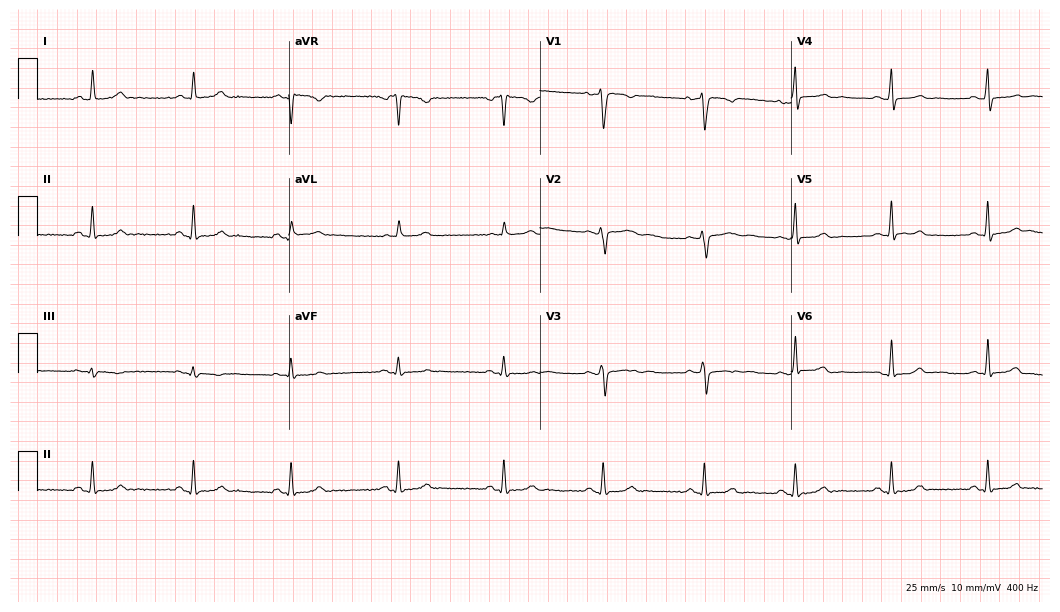
Standard 12-lead ECG recorded from a 34-year-old female. None of these six findings is recorded: first-degree AV block, right bundle branch block (RBBB), left bundle branch block (LBBB), sinus bradycardia, atrial fibrillation (AF), sinus tachycardia.